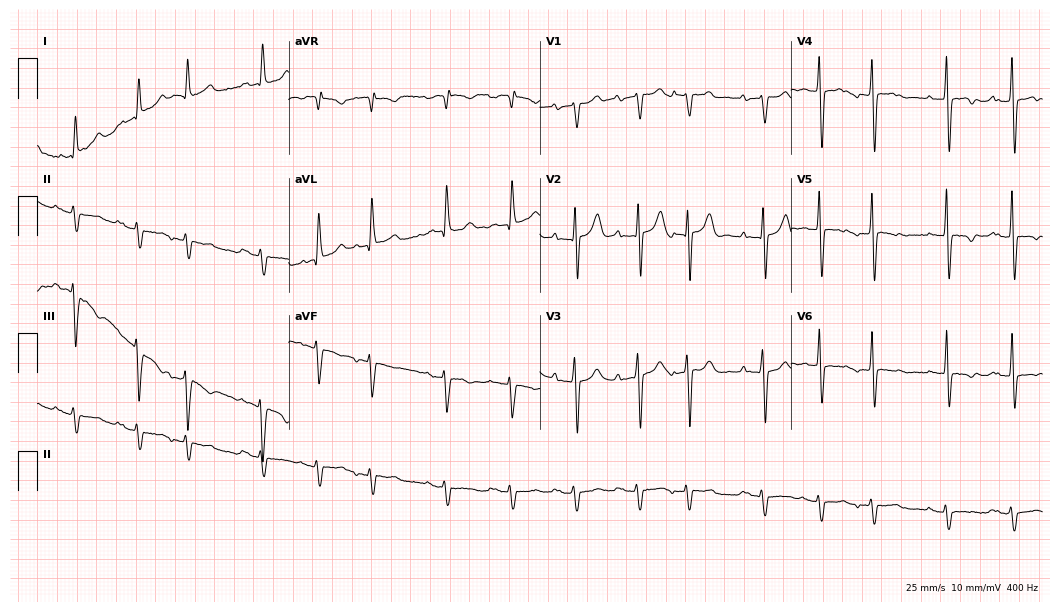
Resting 12-lead electrocardiogram. Patient: a male, 77 years old. None of these six findings is recorded: first-degree AV block, right bundle branch block, left bundle branch block, sinus bradycardia, atrial fibrillation, sinus tachycardia.